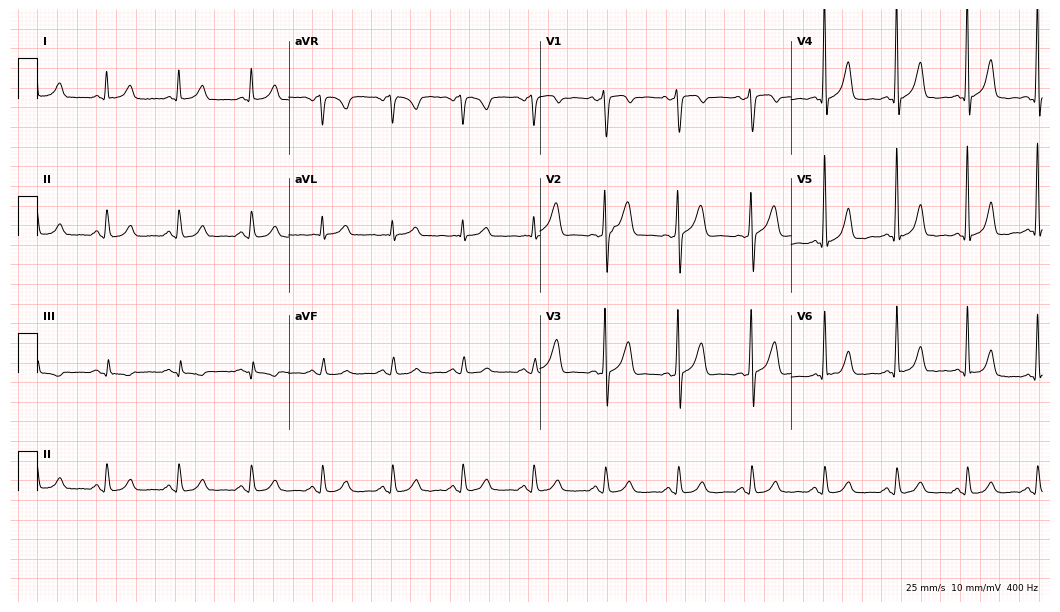
Resting 12-lead electrocardiogram. Patient: a male, 59 years old. Read as a normal ECG.